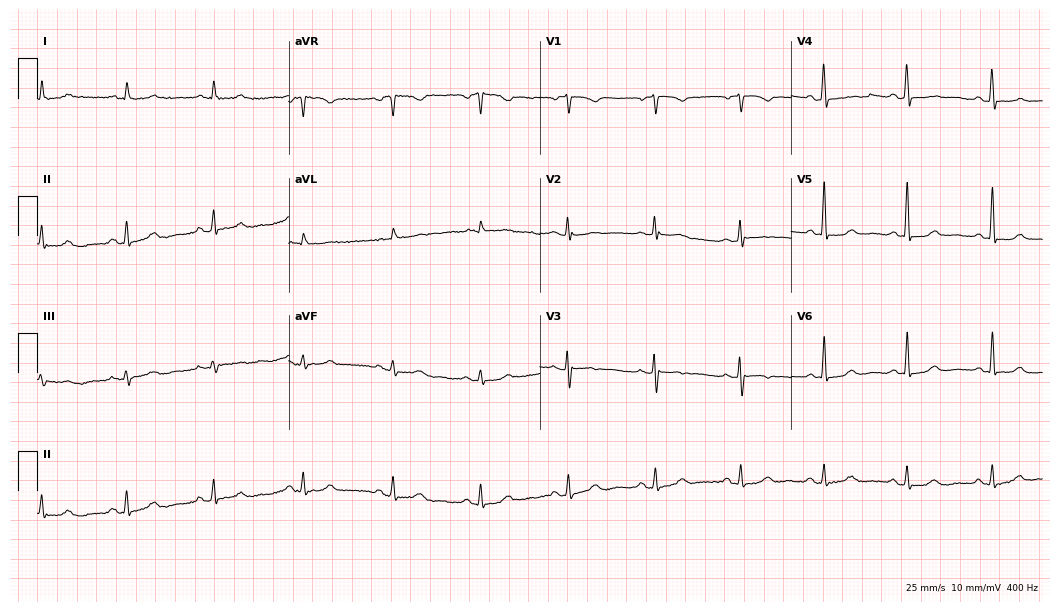
12-lead ECG from a 60-year-old female (10.2-second recording at 400 Hz). No first-degree AV block, right bundle branch block, left bundle branch block, sinus bradycardia, atrial fibrillation or sinus tachycardia recorded for this tracing. Only these six findings were labelled.